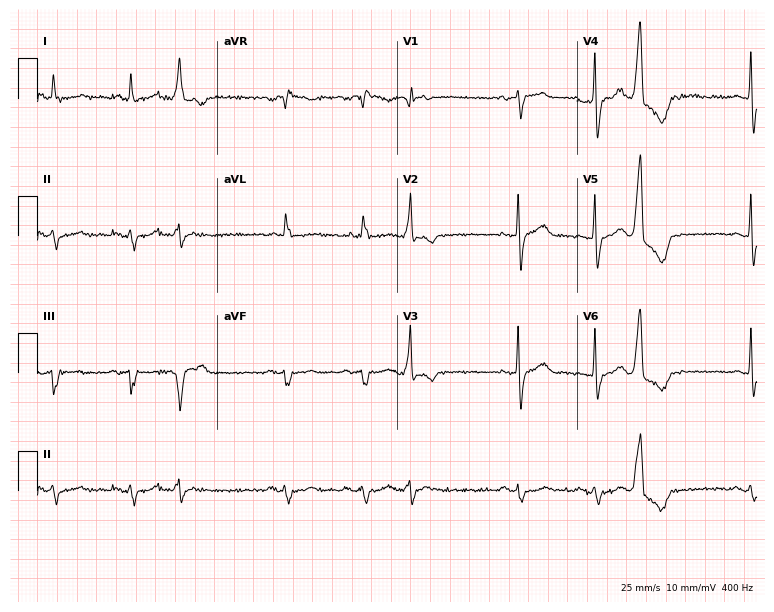
12-lead ECG (7.3-second recording at 400 Hz) from a male, 80 years old. Screened for six findings — first-degree AV block, right bundle branch block (RBBB), left bundle branch block (LBBB), sinus bradycardia, atrial fibrillation (AF), sinus tachycardia — none is recorded. Other findings, if any, are not listed.